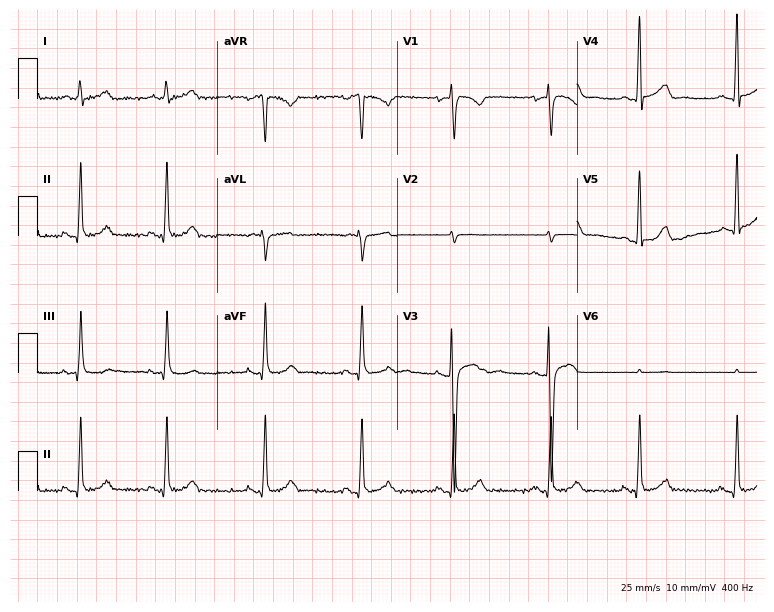
12-lead ECG (7.3-second recording at 400 Hz) from a 24-year-old female. Labelled as a normal ECG.